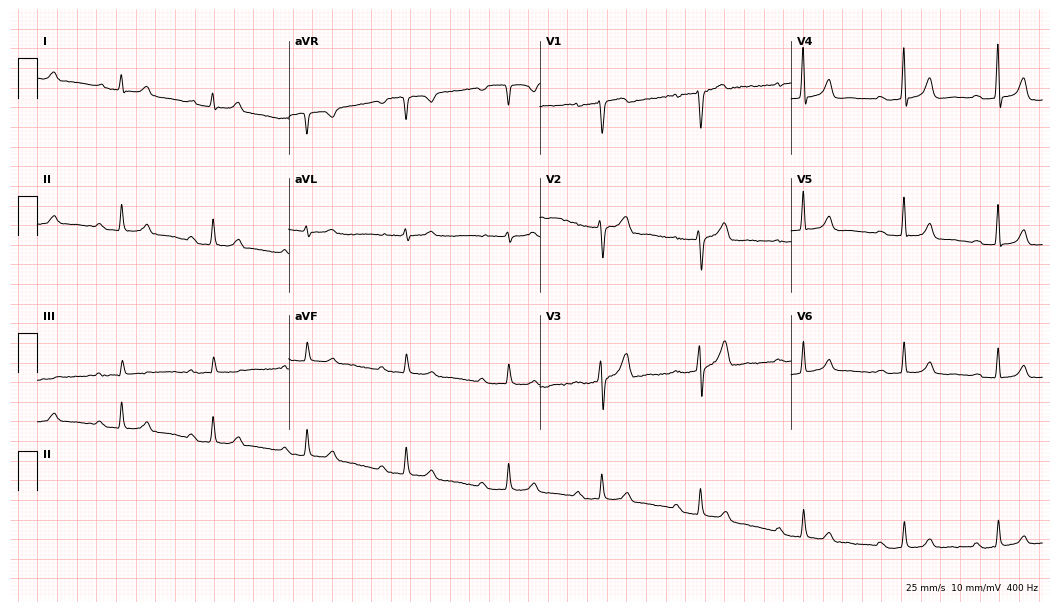
12-lead ECG (10.2-second recording at 400 Hz) from a female, 34 years old. Findings include first-degree AV block.